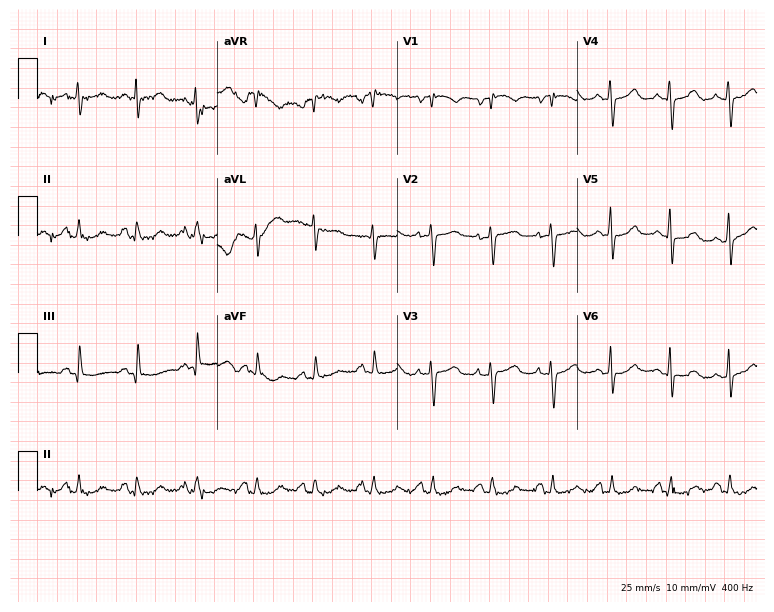
12-lead ECG (7.3-second recording at 400 Hz) from a 56-year-old male. Screened for six findings — first-degree AV block, right bundle branch block, left bundle branch block, sinus bradycardia, atrial fibrillation, sinus tachycardia — none is recorded.